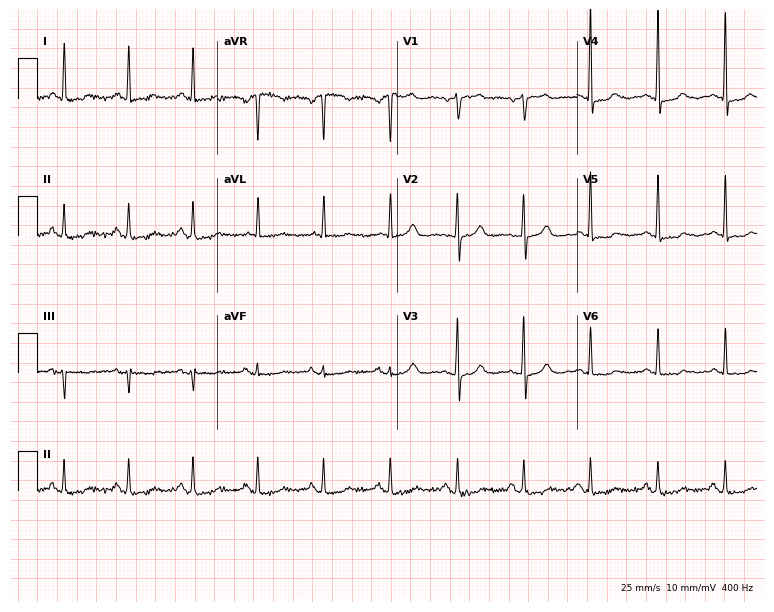
Electrocardiogram, a woman, 80 years old. Of the six screened findings (first-degree AV block, right bundle branch block, left bundle branch block, sinus bradycardia, atrial fibrillation, sinus tachycardia), none is recorded. Other findings, if any, are not listed.